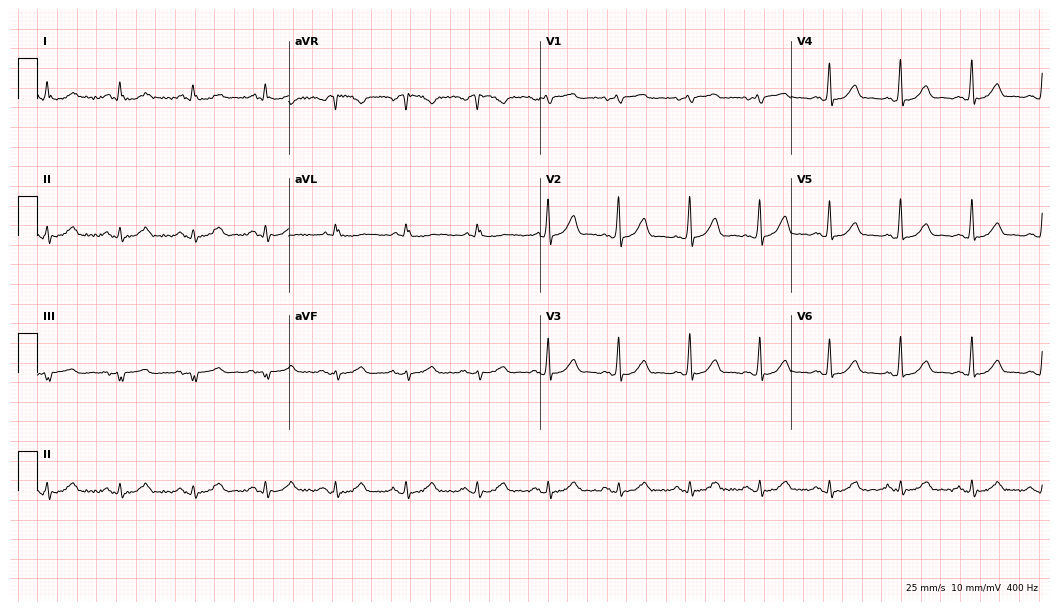
Standard 12-lead ECG recorded from a man, 60 years old. Read as a normal ECG.